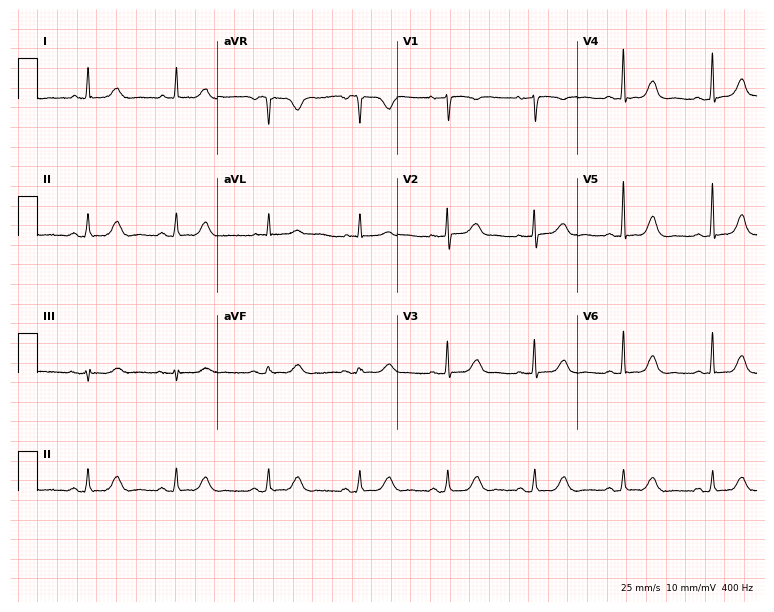
Standard 12-lead ECG recorded from a female patient, 76 years old. Read as a normal ECG.